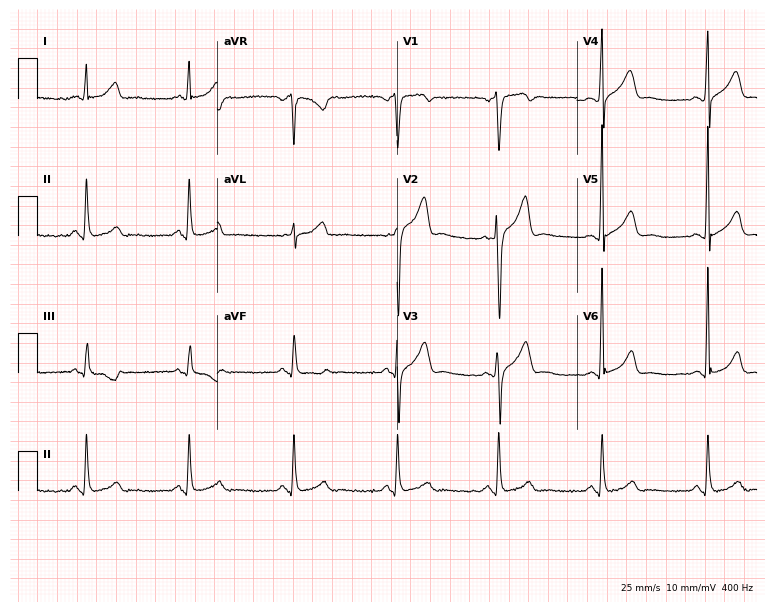
12-lead ECG from a 40-year-old male. No first-degree AV block, right bundle branch block, left bundle branch block, sinus bradycardia, atrial fibrillation or sinus tachycardia recorded for this tracing.